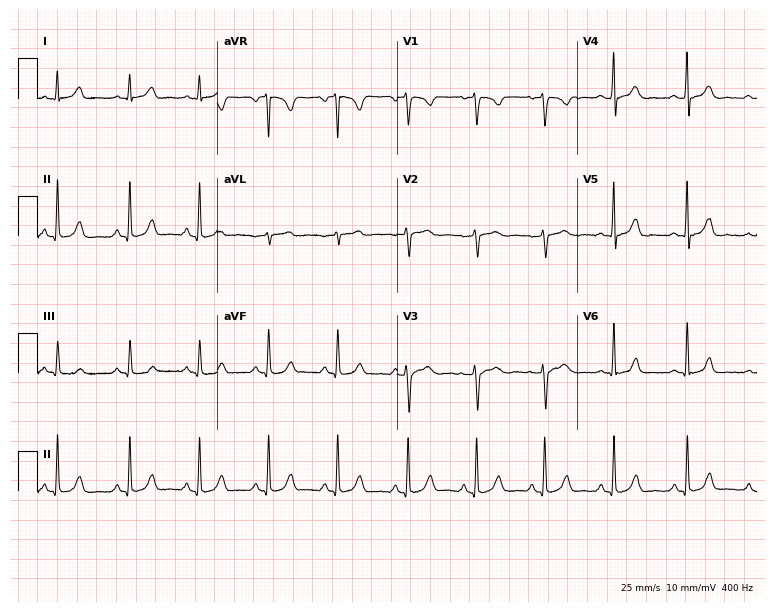
Standard 12-lead ECG recorded from a 35-year-old female. Read as a normal ECG.